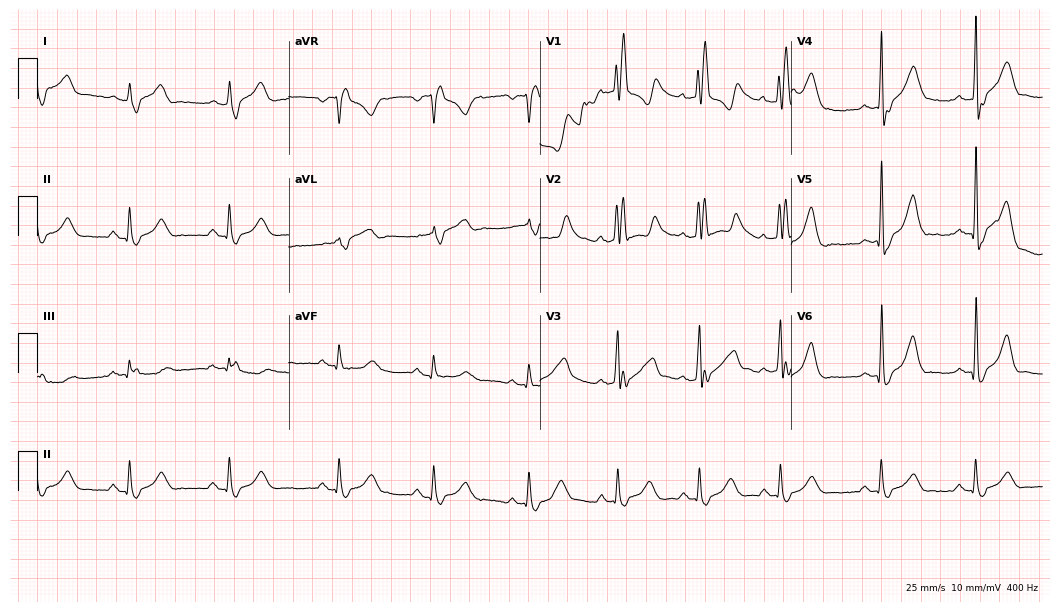
12-lead ECG from a 44-year-old man. Findings include right bundle branch block.